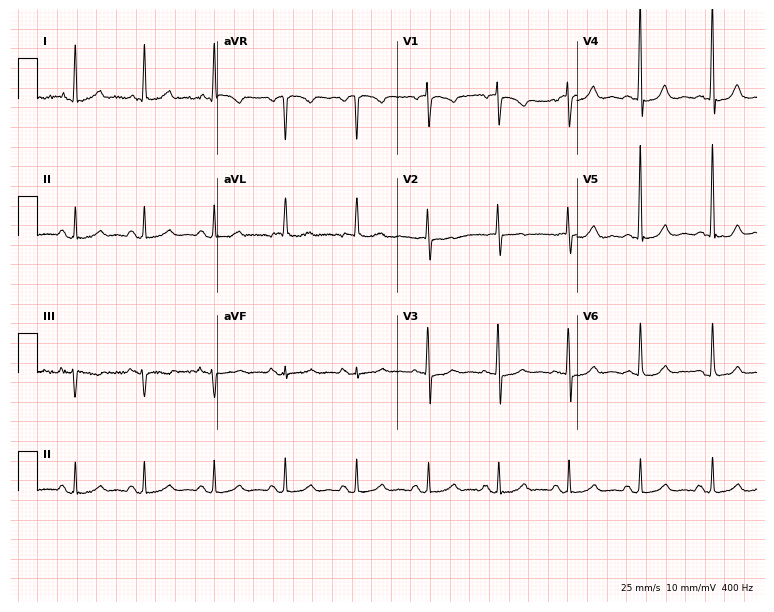
Electrocardiogram (7.3-second recording at 400 Hz), an 81-year-old female patient. Of the six screened findings (first-degree AV block, right bundle branch block (RBBB), left bundle branch block (LBBB), sinus bradycardia, atrial fibrillation (AF), sinus tachycardia), none is recorded.